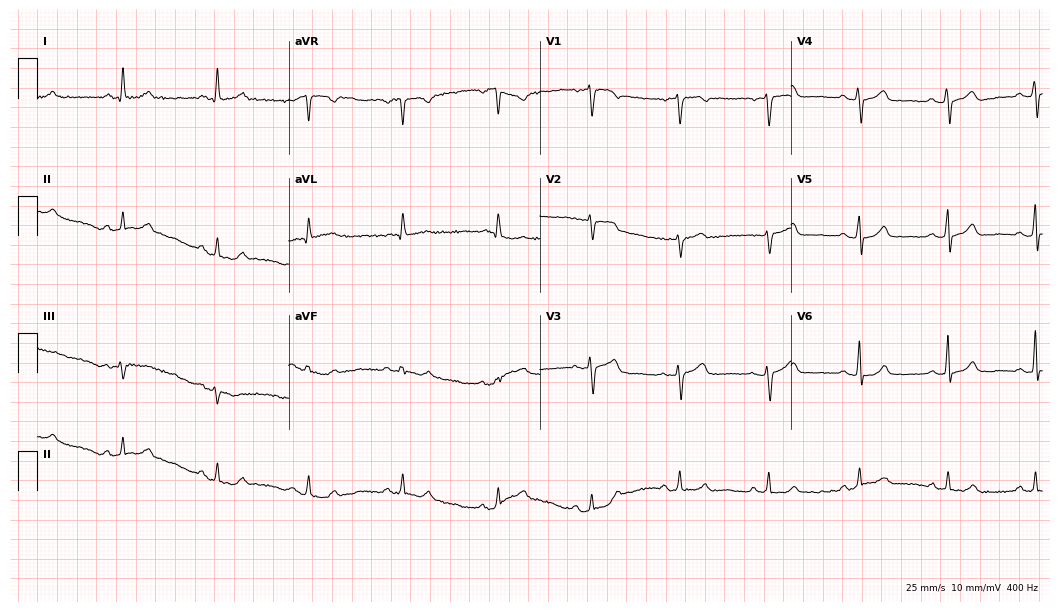
Standard 12-lead ECG recorded from a female patient, 30 years old. Read as a normal ECG.